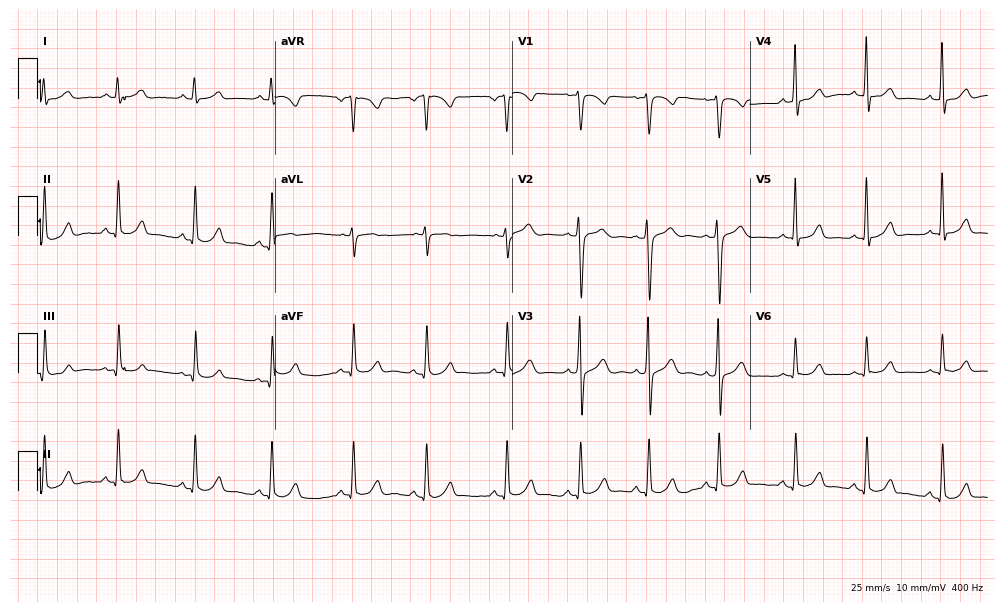
ECG (9.7-second recording at 400 Hz) — a 34-year-old man. Labelled as a normal ECG.